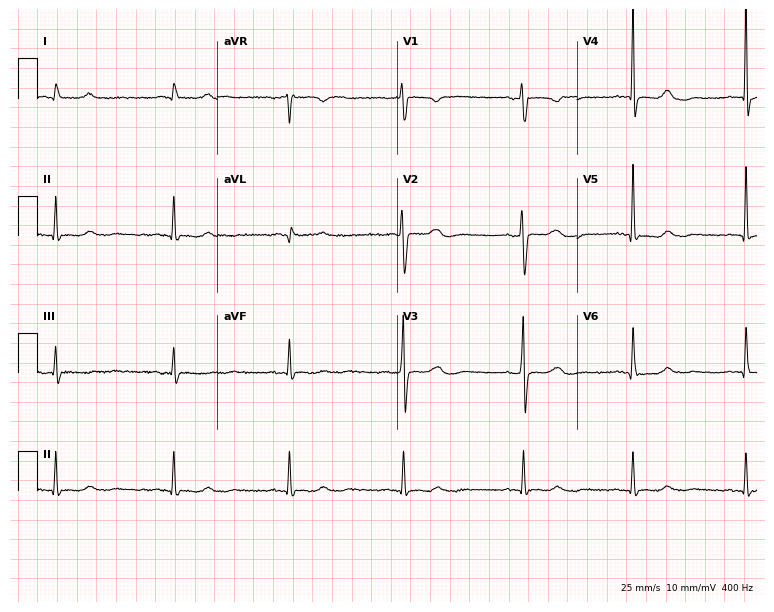
Electrocardiogram (7.3-second recording at 400 Hz), a 78-year-old female patient. Of the six screened findings (first-degree AV block, right bundle branch block, left bundle branch block, sinus bradycardia, atrial fibrillation, sinus tachycardia), none is recorded.